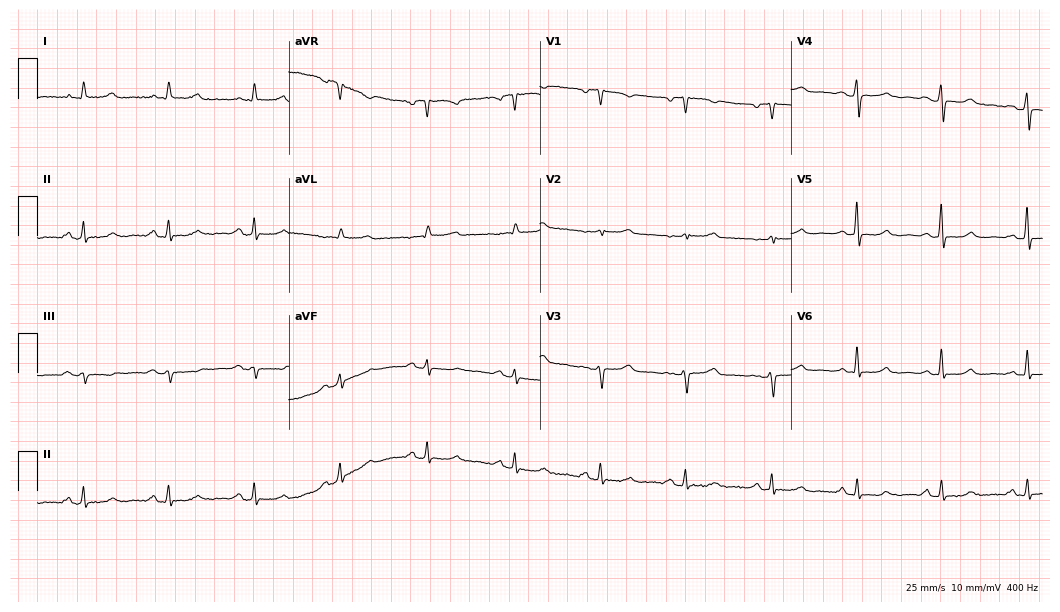
Electrocardiogram, a female, 52 years old. Of the six screened findings (first-degree AV block, right bundle branch block (RBBB), left bundle branch block (LBBB), sinus bradycardia, atrial fibrillation (AF), sinus tachycardia), none is recorded. Only these six findings were labelled.